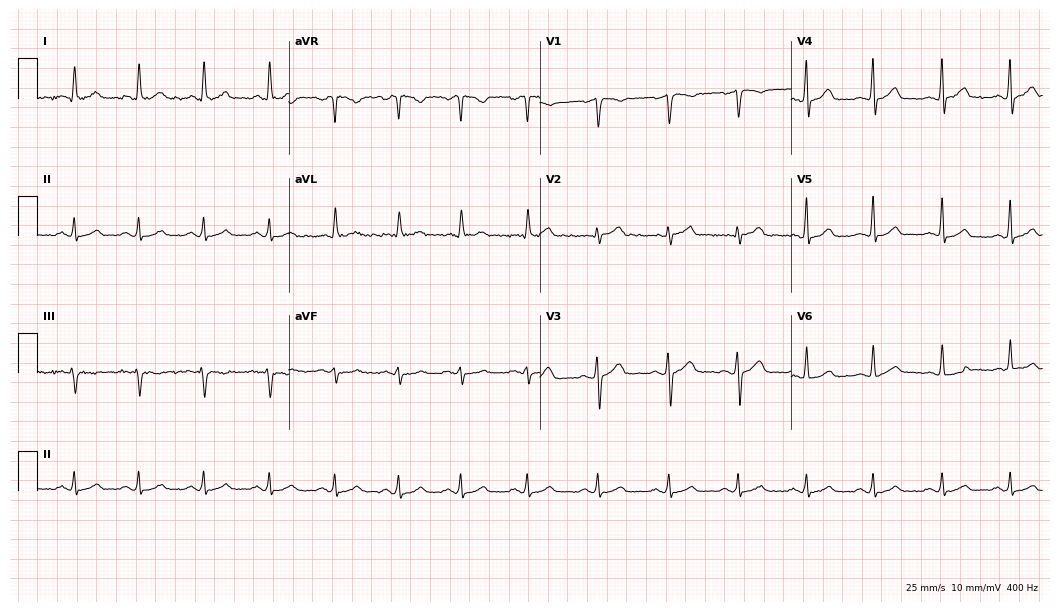
ECG (10.2-second recording at 400 Hz) — a 38-year-old male. Labelled as a normal ECG.